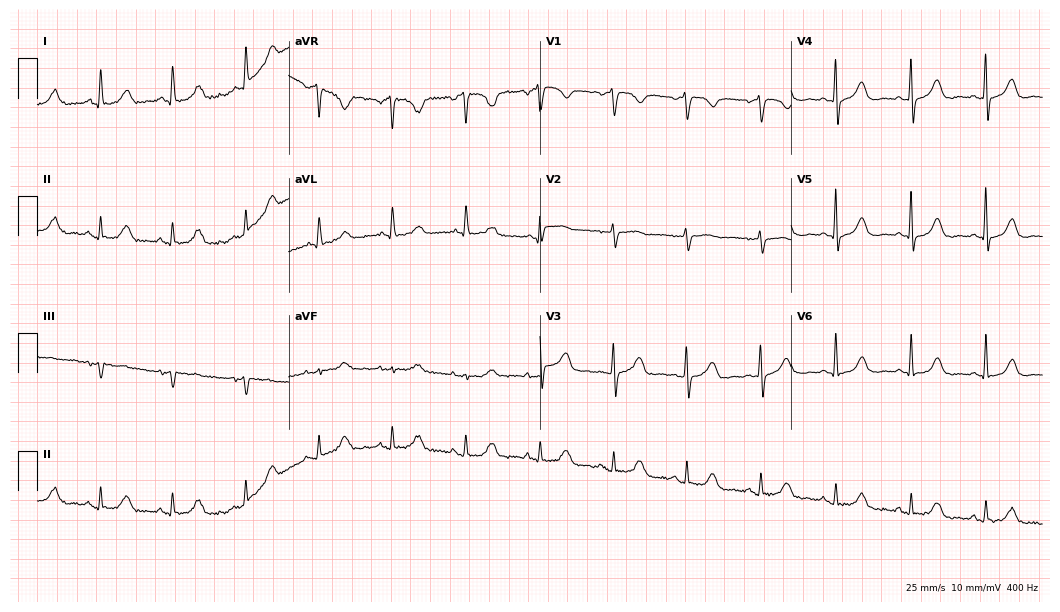
ECG — a 65-year-old female. Screened for six findings — first-degree AV block, right bundle branch block, left bundle branch block, sinus bradycardia, atrial fibrillation, sinus tachycardia — none is recorded.